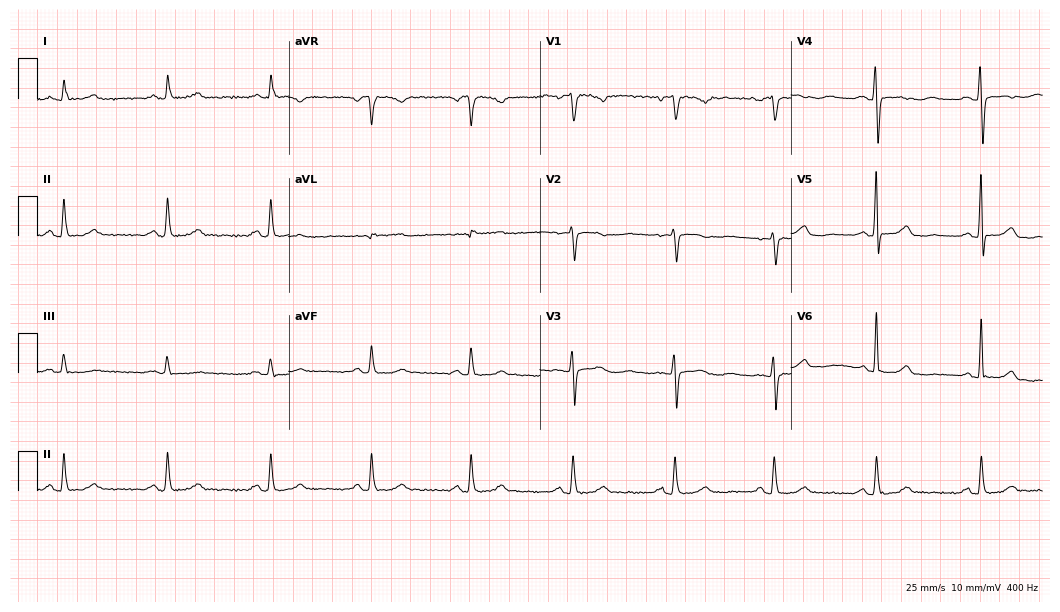
ECG (10.2-second recording at 400 Hz) — a woman, 57 years old. Screened for six findings — first-degree AV block, right bundle branch block, left bundle branch block, sinus bradycardia, atrial fibrillation, sinus tachycardia — none is recorded. Only these six findings were labelled.